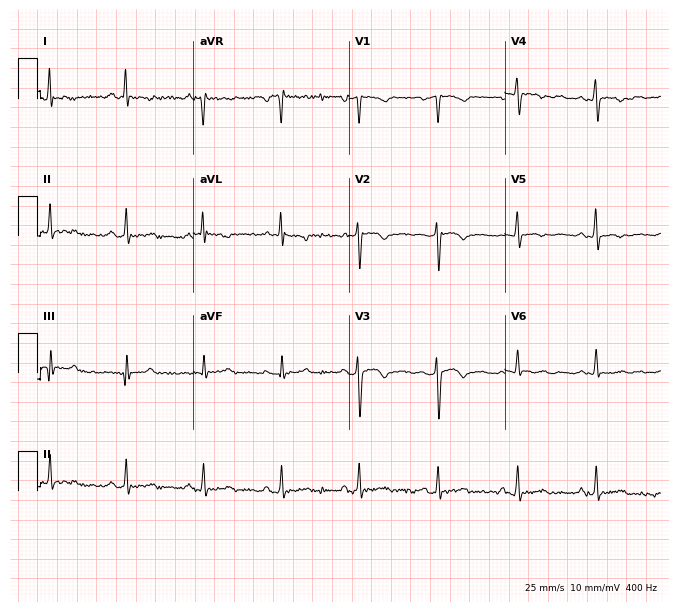
ECG (6.4-second recording at 400 Hz) — a female patient, 54 years old. Screened for six findings — first-degree AV block, right bundle branch block (RBBB), left bundle branch block (LBBB), sinus bradycardia, atrial fibrillation (AF), sinus tachycardia — none is recorded.